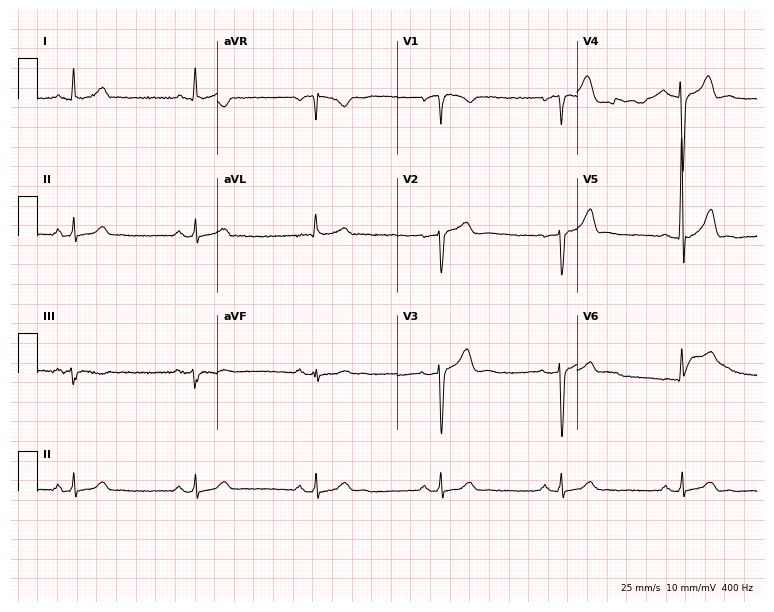
Standard 12-lead ECG recorded from a 61-year-old man (7.3-second recording at 400 Hz). The tracing shows sinus bradycardia (a sinus rate of 50 beats per minute or less).